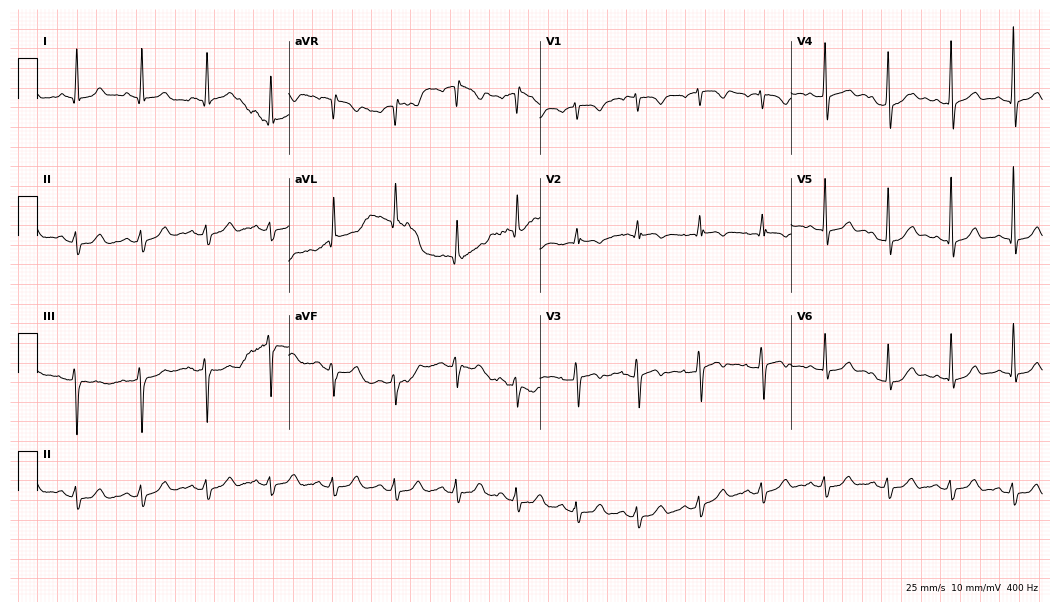
12-lead ECG from a female patient, 54 years old. Screened for six findings — first-degree AV block, right bundle branch block, left bundle branch block, sinus bradycardia, atrial fibrillation, sinus tachycardia — none is recorded.